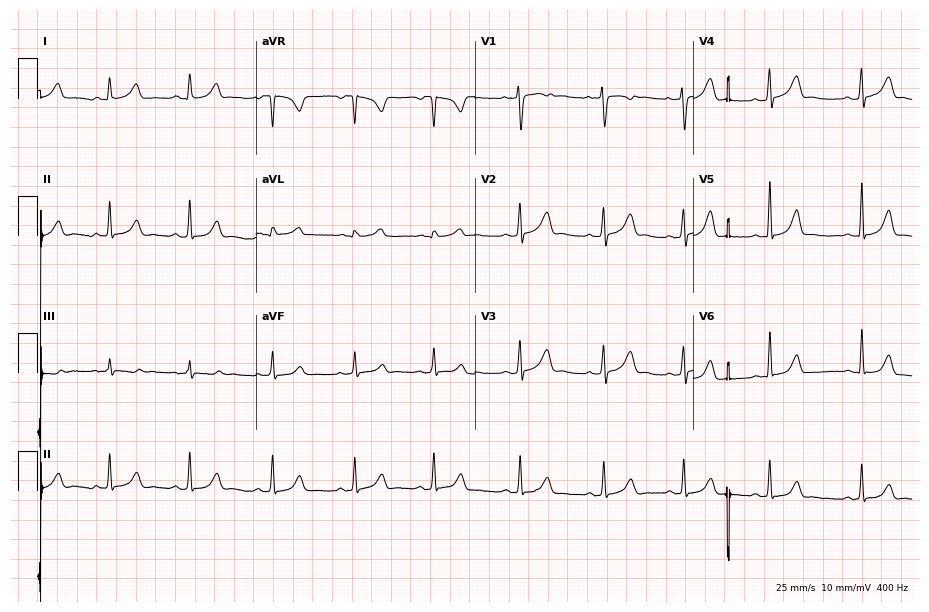
ECG (8.9-second recording at 400 Hz) — a 21-year-old woman. Screened for six findings — first-degree AV block, right bundle branch block, left bundle branch block, sinus bradycardia, atrial fibrillation, sinus tachycardia — none is recorded.